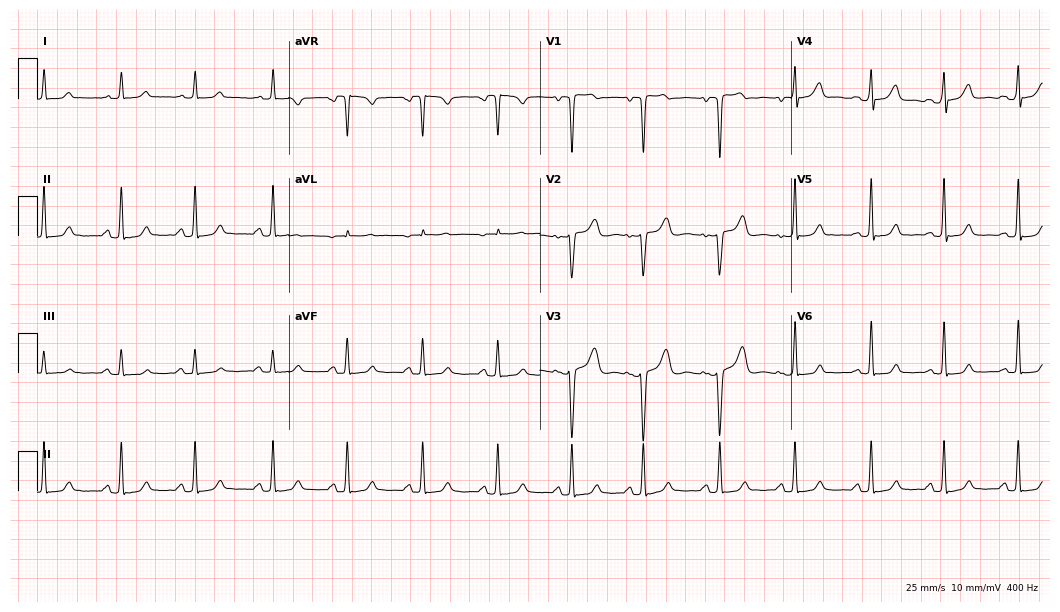
Resting 12-lead electrocardiogram (10.2-second recording at 400 Hz). Patient: a 44-year-old female. Read as a normal ECG.